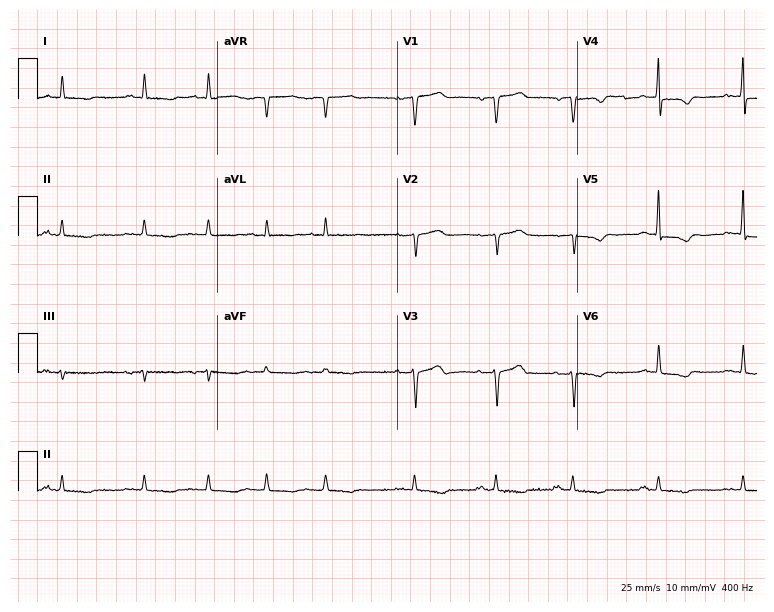
Electrocardiogram, a male, 83 years old. Of the six screened findings (first-degree AV block, right bundle branch block, left bundle branch block, sinus bradycardia, atrial fibrillation, sinus tachycardia), none is recorded.